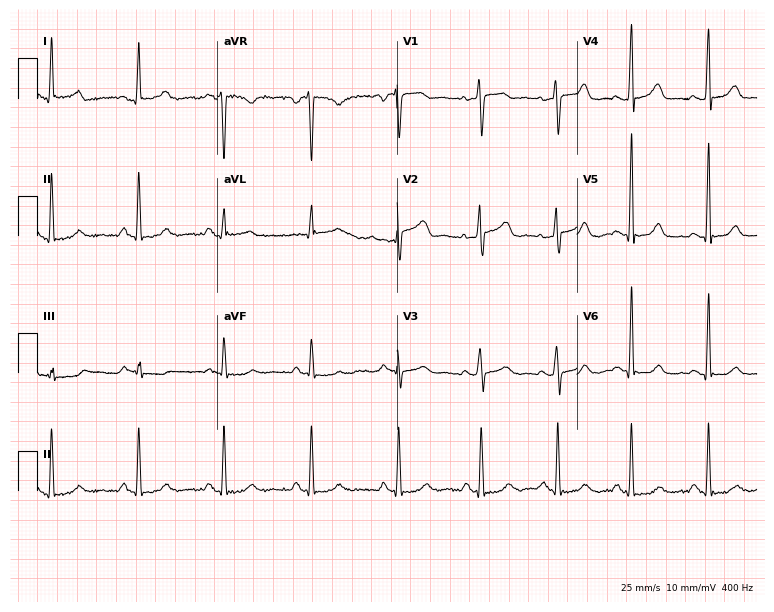
Electrocardiogram, a 47-year-old female. Of the six screened findings (first-degree AV block, right bundle branch block, left bundle branch block, sinus bradycardia, atrial fibrillation, sinus tachycardia), none is recorded. Other findings, if any, are not listed.